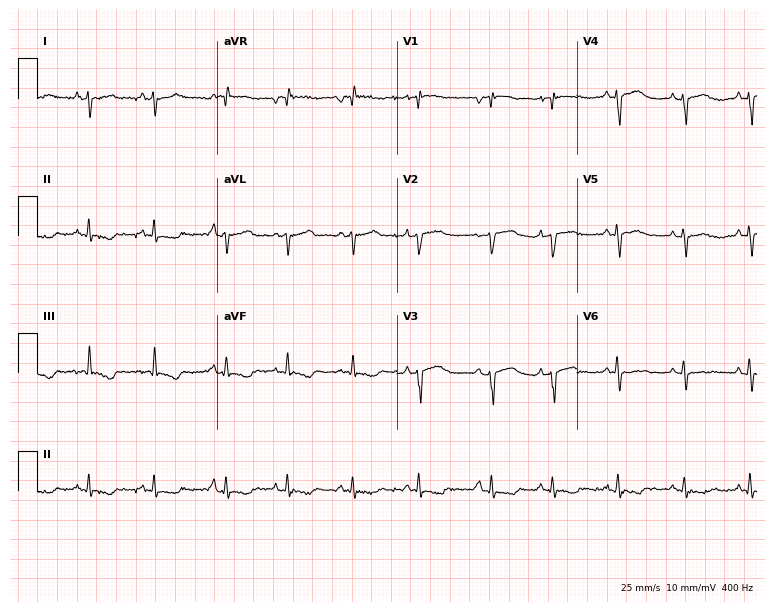
ECG (7.3-second recording at 400 Hz) — a female, 62 years old. Screened for six findings — first-degree AV block, right bundle branch block, left bundle branch block, sinus bradycardia, atrial fibrillation, sinus tachycardia — none is recorded. Only these six findings were labelled.